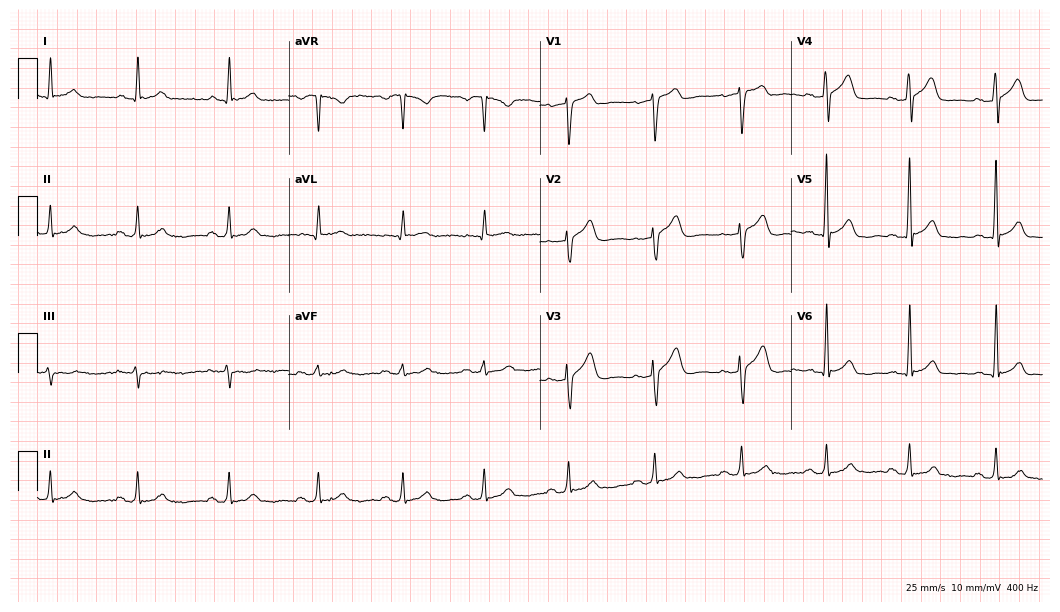
12-lead ECG from a 59-year-old man. Screened for six findings — first-degree AV block, right bundle branch block, left bundle branch block, sinus bradycardia, atrial fibrillation, sinus tachycardia — none is recorded. Findings outside these six are not listed.